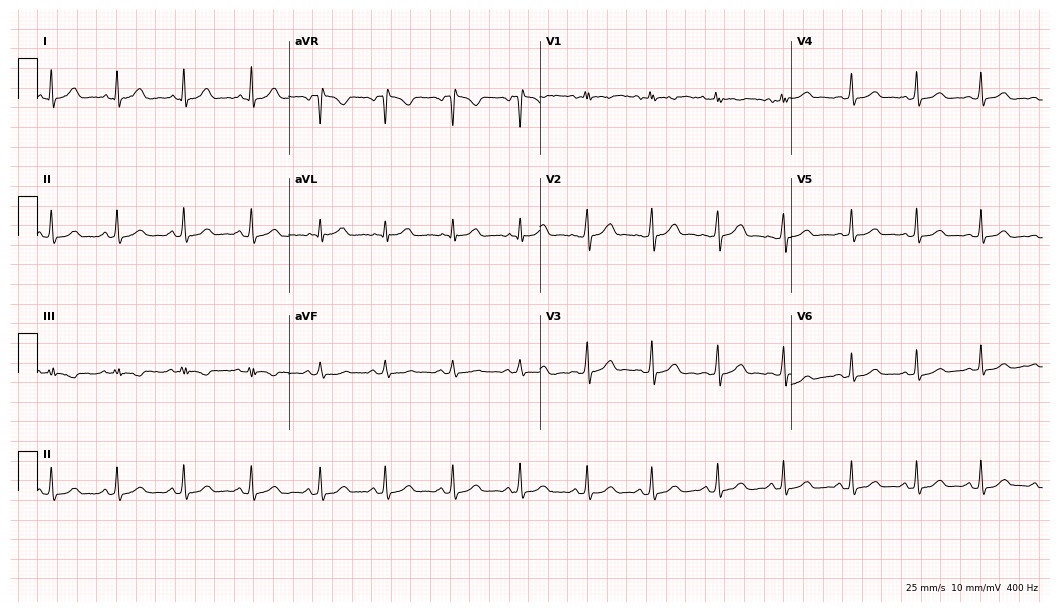
ECG — a female patient, 33 years old. Screened for six findings — first-degree AV block, right bundle branch block, left bundle branch block, sinus bradycardia, atrial fibrillation, sinus tachycardia — none is recorded. Findings outside these six are not listed.